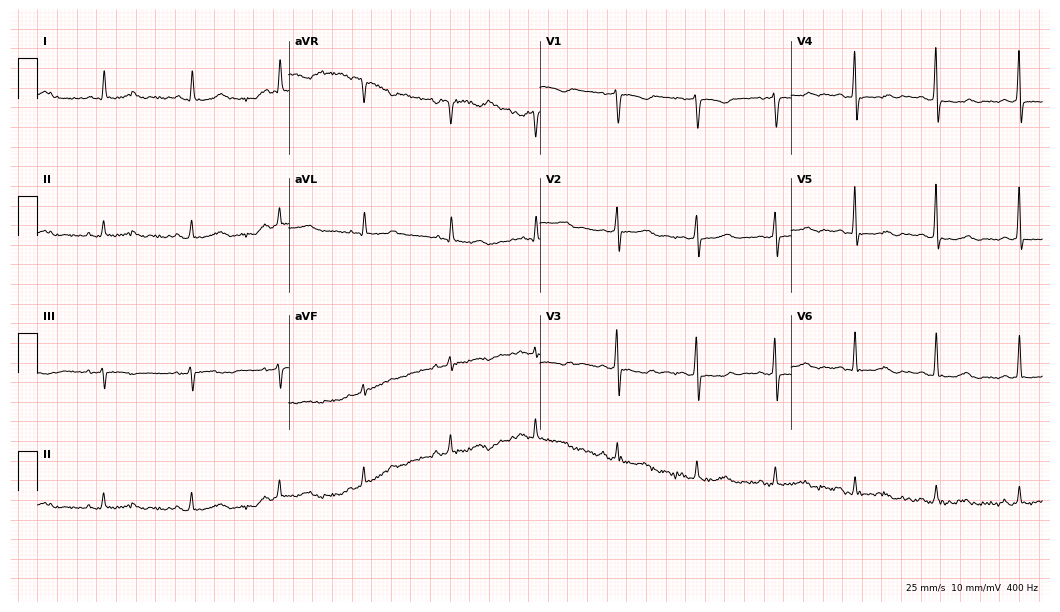
ECG (10.2-second recording at 400 Hz) — a 54-year-old female patient. Screened for six findings — first-degree AV block, right bundle branch block, left bundle branch block, sinus bradycardia, atrial fibrillation, sinus tachycardia — none is recorded.